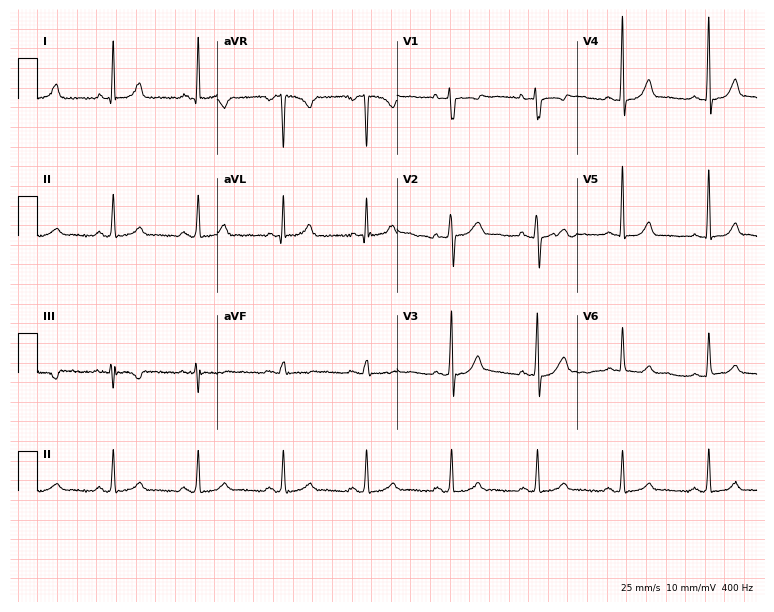
Standard 12-lead ECG recorded from a female patient, 35 years old. Read as a normal ECG.